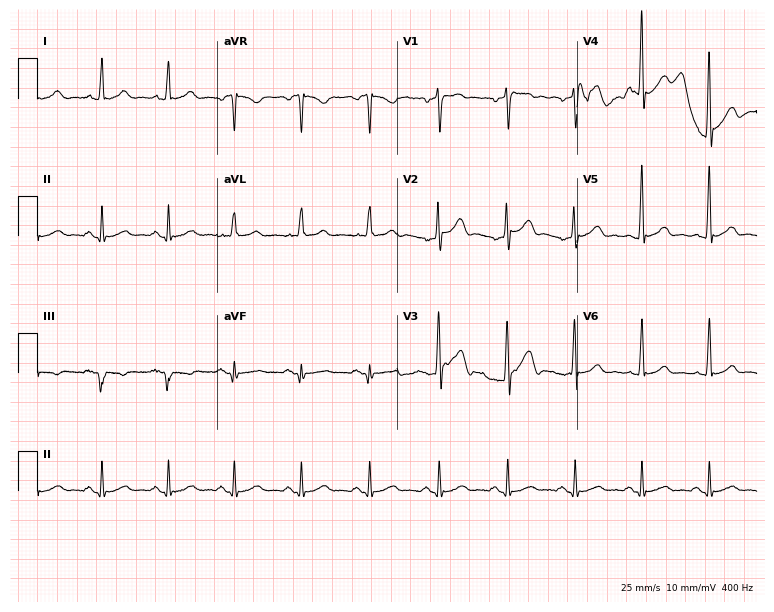
Standard 12-lead ECG recorded from a 37-year-old man (7.3-second recording at 400 Hz). None of these six findings is recorded: first-degree AV block, right bundle branch block, left bundle branch block, sinus bradycardia, atrial fibrillation, sinus tachycardia. Other findings, if any, are not listed.